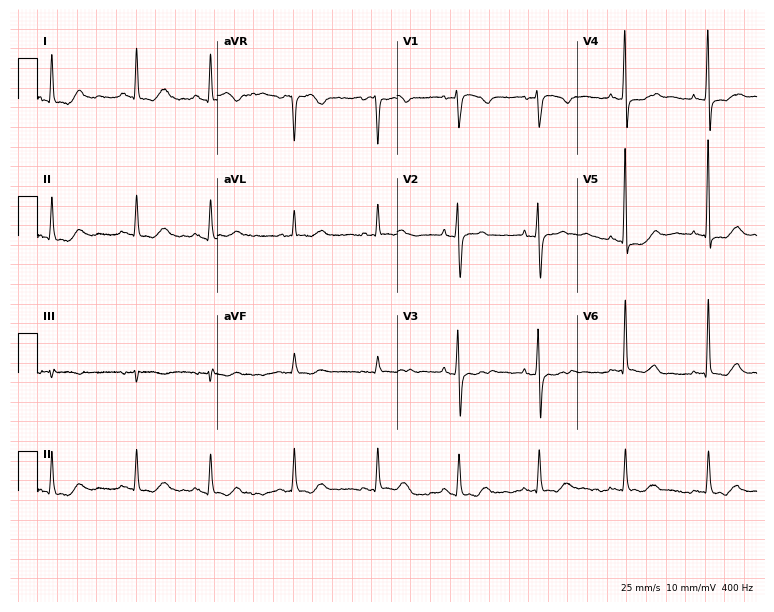
12-lead ECG from a female, 74 years old (7.3-second recording at 400 Hz). No first-degree AV block, right bundle branch block, left bundle branch block, sinus bradycardia, atrial fibrillation or sinus tachycardia recorded for this tracing.